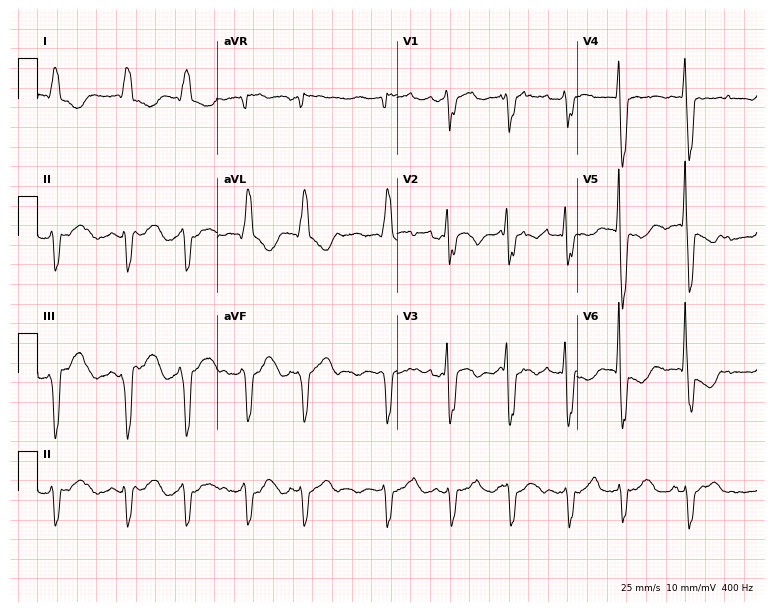
12-lead ECG from a 74-year-old male. Findings include left bundle branch block, atrial fibrillation.